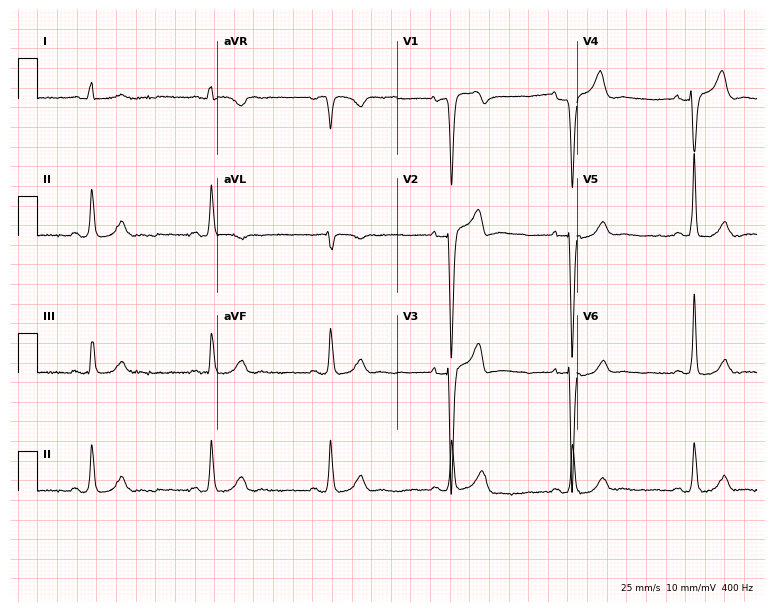
12-lead ECG from an 85-year-old male patient. Screened for six findings — first-degree AV block, right bundle branch block (RBBB), left bundle branch block (LBBB), sinus bradycardia, atrial fibrillation (AF), sinus tachycardia — none is recorded.